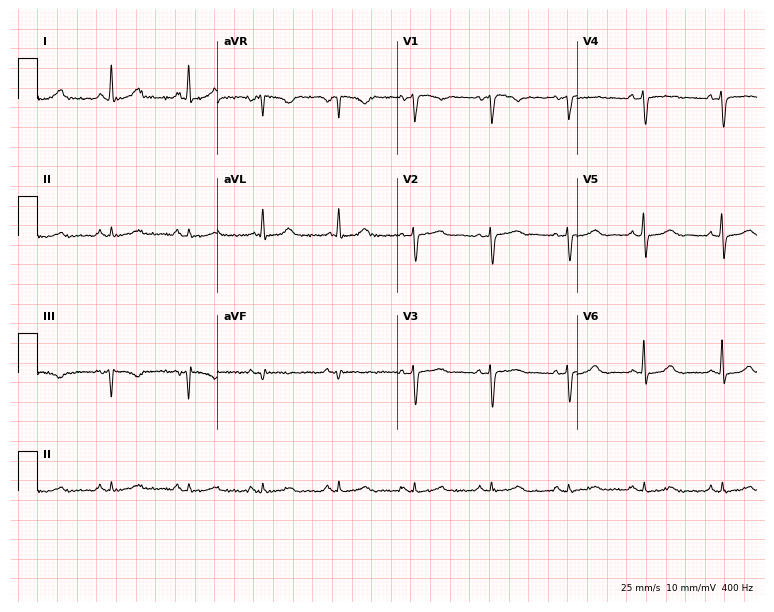
12-lead ECG from a 62-year-old woman. Recorded interpretation: within normal limits.